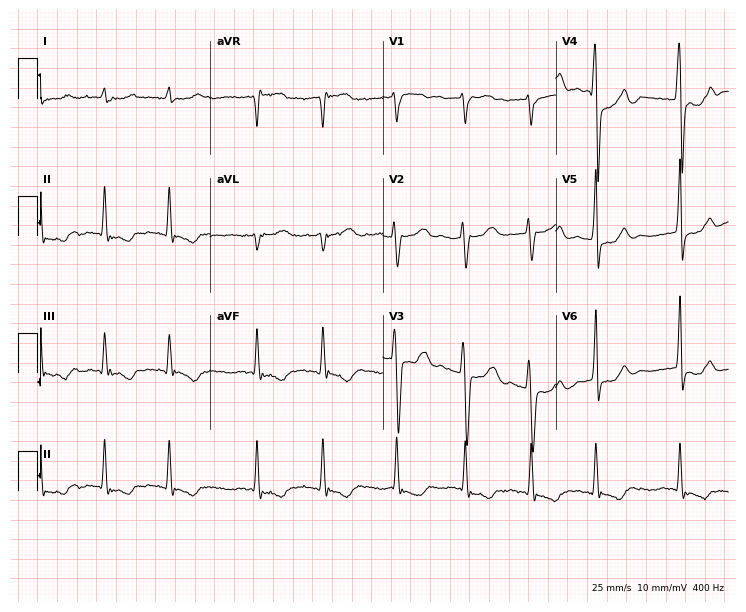
Electrocardiogram, an 84-year-old male. Of the six screened findings (first-degree AV block, right bundle branch block (RBBB), left bundle branch block (LBBB), sinus bradycardia, atrial fibrillation (AF), sinus tachycardia), none is recorded.